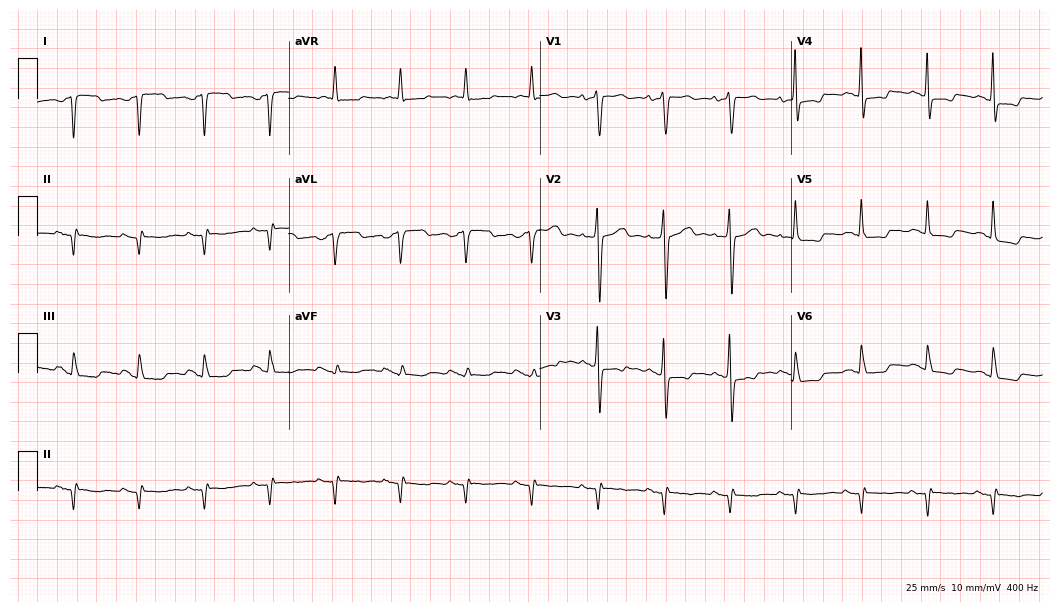
Resting 12-lead electrocardiogram. Patient: a 75-year-old female. None of these six findings is recorded: first-degree AV block, right bundle branch block, left bundle branch block, sinus bradycardia, atrial fibrillation, sinus tachycardia. Findings outside these six are not listed.